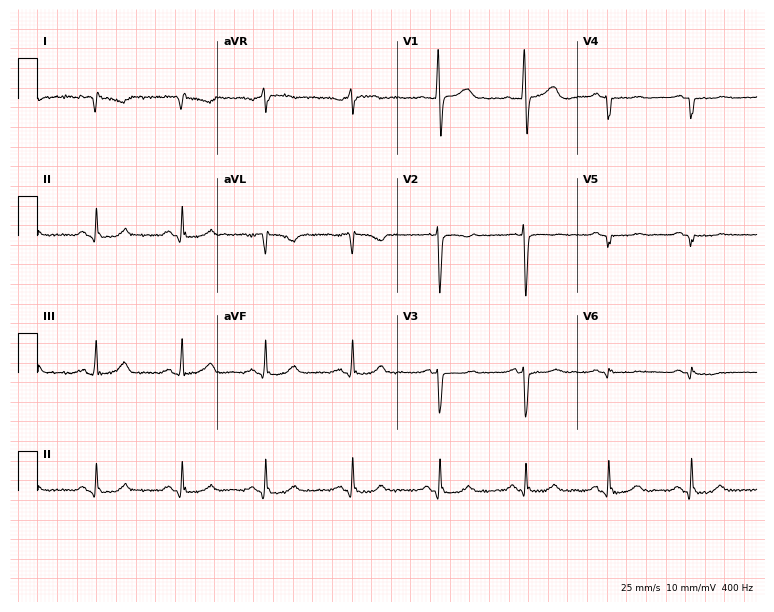
Resting 12-lead electrocardiogram. Patient: a female, 63 years old. None of these six findings is recorded: first-degree AV block, right bundle branch block (RBBB), left bundle branch block (LBBB), sinus bradycardia, atrial fibrillation (AF), sinus tachycardia.